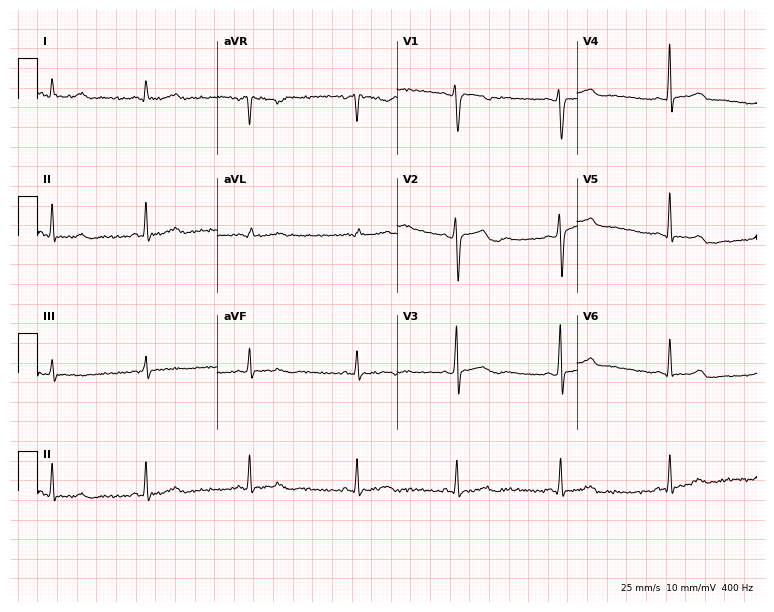
Standard 12-lead ECG recorded from a female patient, 30 years old (7.3-second recording at 400 Hz). None of these six findings is recorded: first-degree AV block, right bundle branch block (RBBB), left bundle branch block (LBBB), sinus bradycardia, atrial fibrillation (AF), sinus tachycardia.